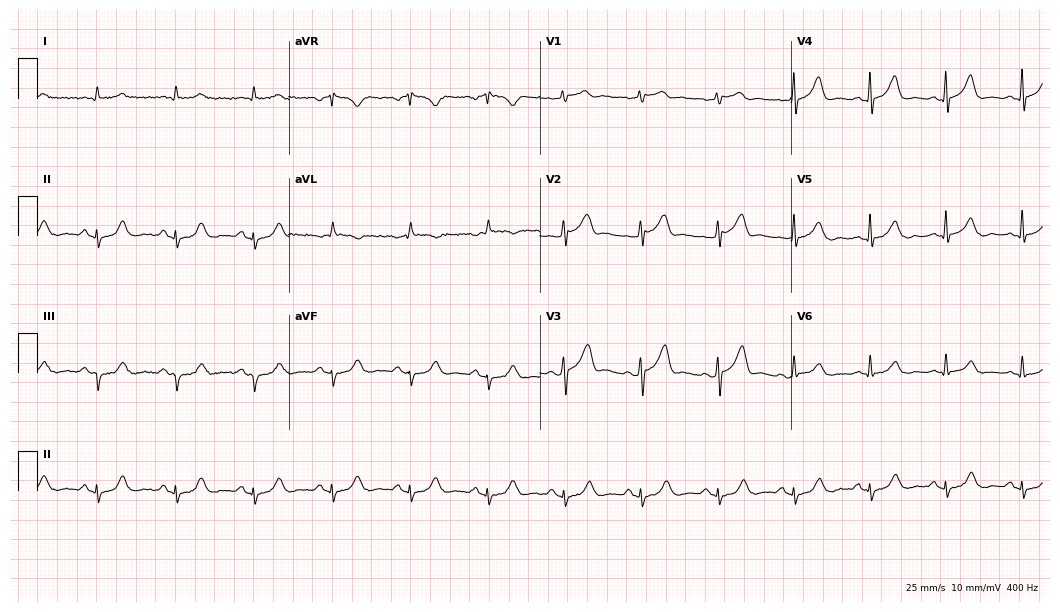
Electrocardiogram, a male, 71 years old. Overall reading on record: normal ECG.